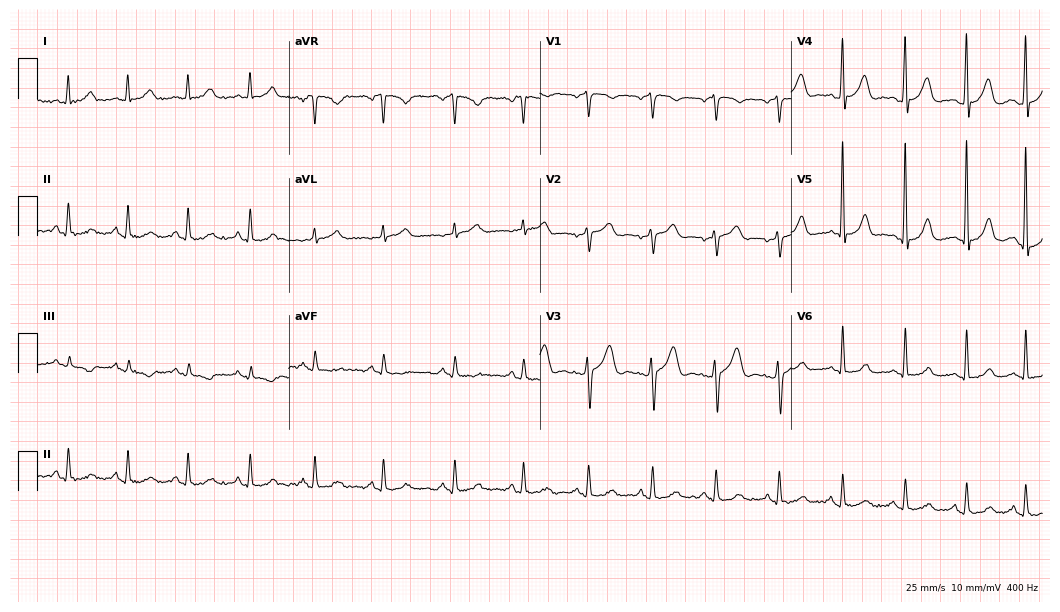
Standard 12-lead ECG recorded from a 43-year-old male patient. Read as a normal ECG.